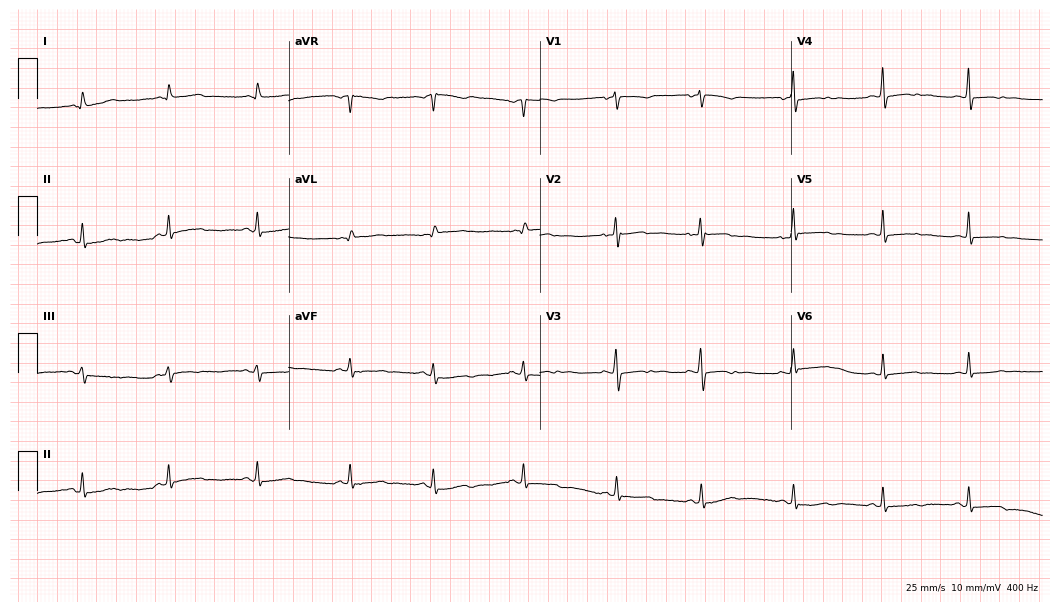
12-lead ECG from a 47-year-old female patient. No first-degree AV block, right bundle branch block (RBBB), left bundle branch block (LBBB), sinus bradycardia, atrial fibrillation (AF) or sinus tachycardia recorded for this tracing. Other findings, if any, are not listed.